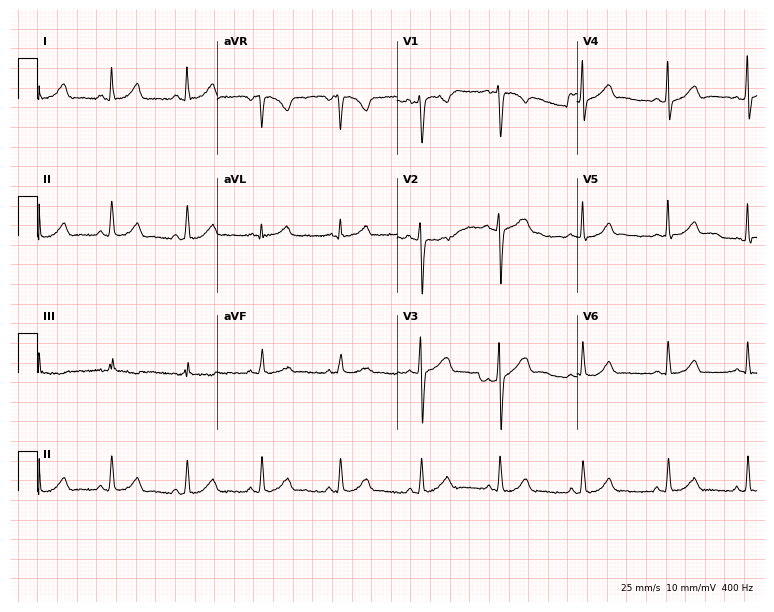
12-lead ECG from a 24-year-old woman (7.3-second recording at 400 Hz). Recorded interpretation: within normal limits.